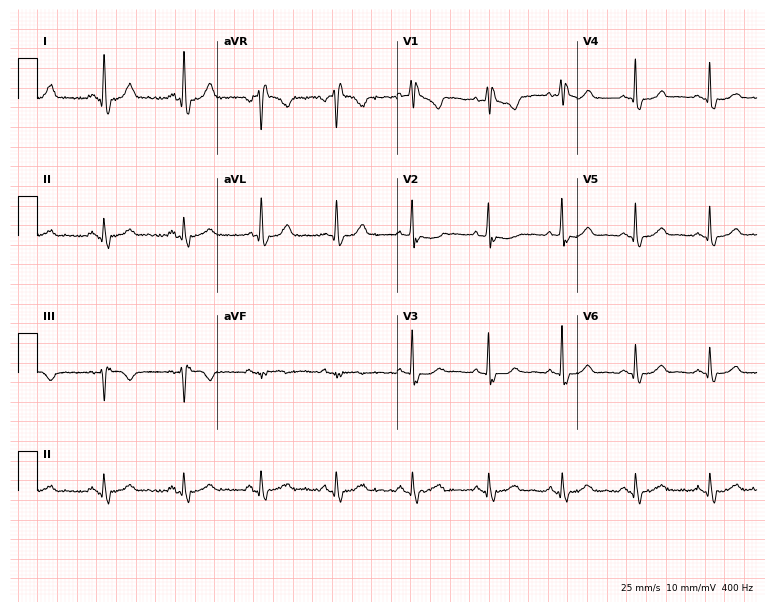
Resting 12-lead electrocardiogram (7.3-second recording at 400 Hz). Patient: a woman, 53 years old. None of these six findings is recorded: first-degree AV block, right bundle branch block (RBBB), left bundle branch block (LBBB), sinus bradycardia, atrial fibrillation (AF), sinus tachycardia.